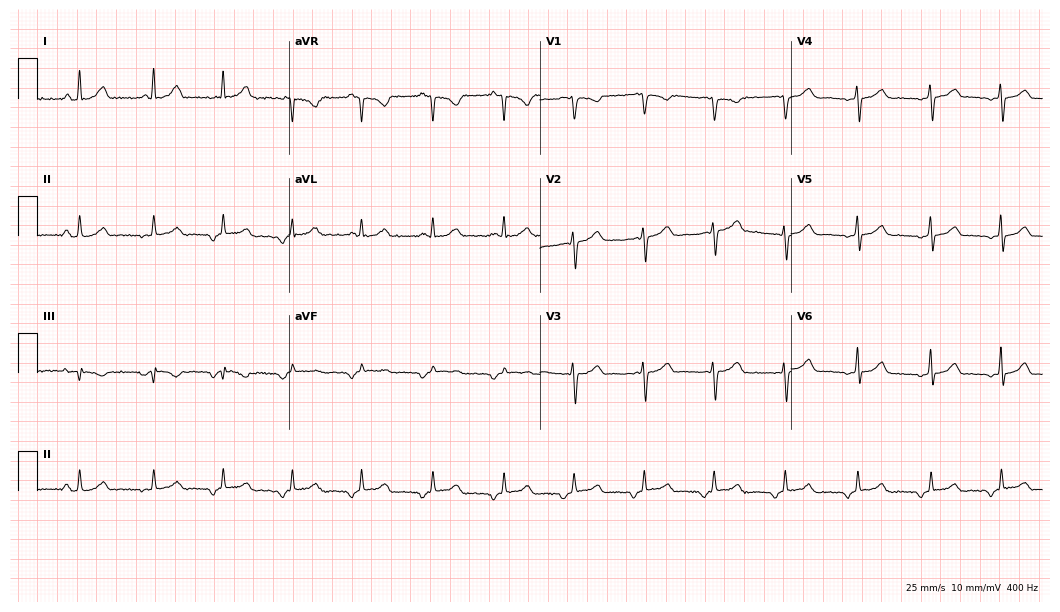
12-lead ECG from a woman, 29 years old (10.2-second recording at 400 Hz). No first-degree AV block, right bundle branch block, left bundle branch block, sinus bradycardia, atrial fibrillation or sinus tachycardia recorded for this tracing.